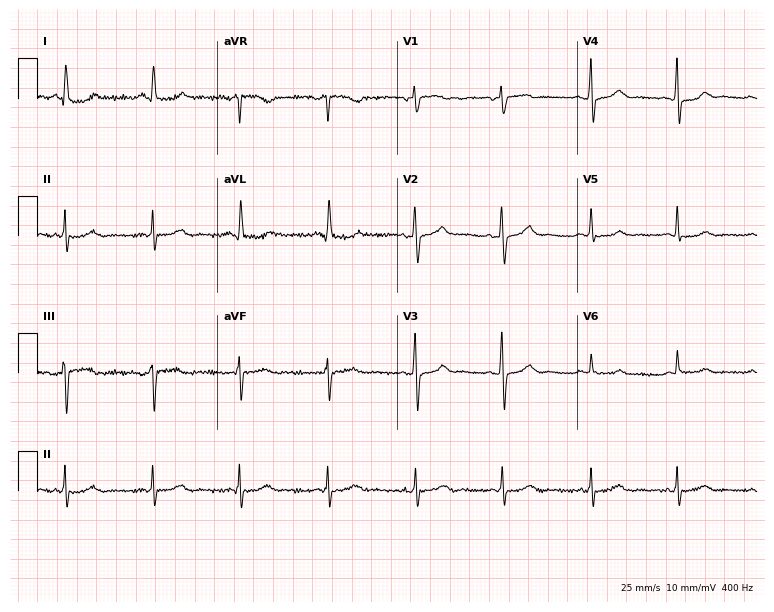
12-lead ECG from a woman, 47 years old (7.3-second recording at 400 Hz). No first-degree AV block, right bundle branch block, left bundle branch block, sinus bradycardia, atrial fibrillation or sinus tachycardia recorded for this tracing.